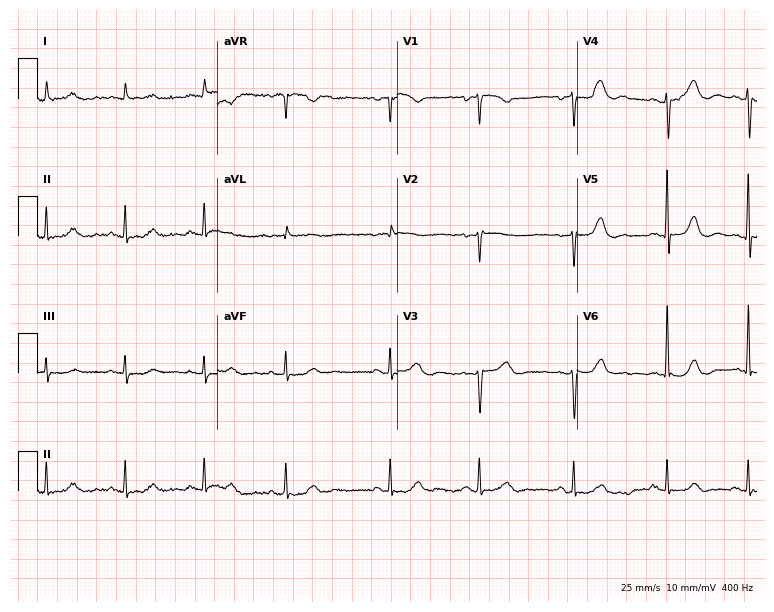
Resting 12-lead electrocardiogram. Patient: an 81-year-old female. None of these six findings is recorded: first-degree AV block, right bundle branch block, left bundle branch block, sinus bradycardia, atrial fibrillation, sinus tachycardia.